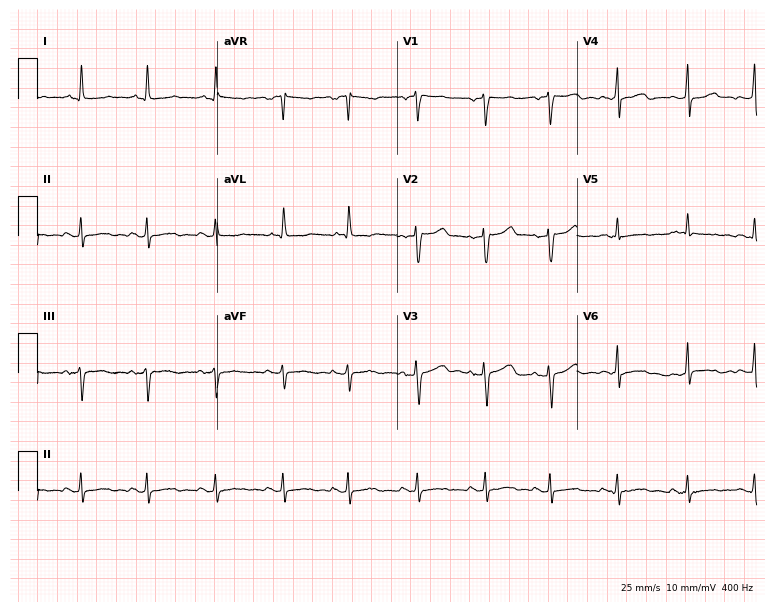
Electrocardiogram, a 64-year-old man. Overall reading on record: normal ECG.